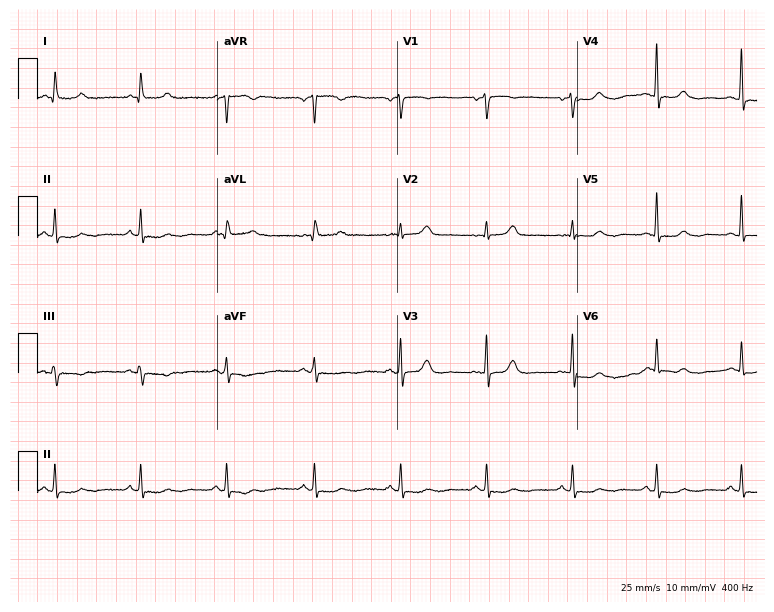
12-lead ECG from a female, 68 years old (7.3-second recording at 400 Hz). No first-degree AV block, right bundle branch block (RBBB), left bundle branch block (LBBB), sinus bradycardia, atrial fibrillation (AF) or sinus tachycardia recorded for this tracing. Findings outside these six are not listed.